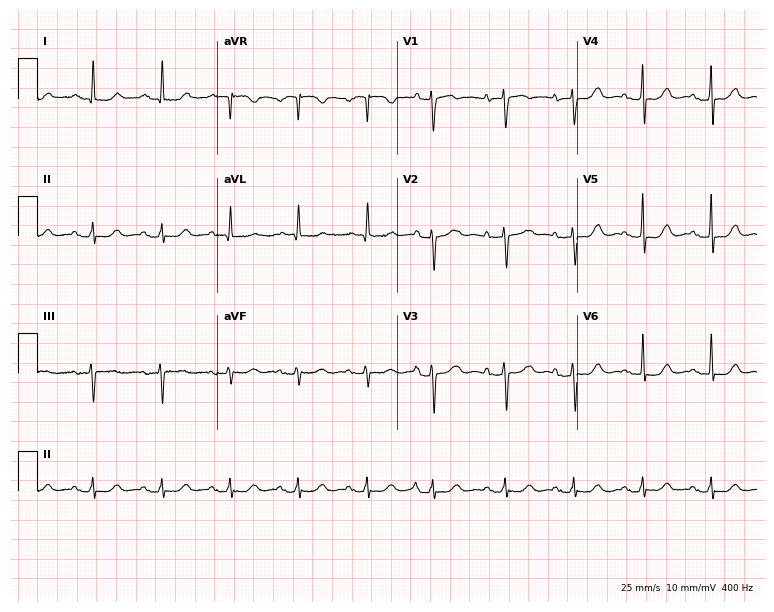
Electrocardiogram (7.3-second recording at 400 Hz), a 78-year-old female patient. Of the six screened findings (first-degree AV block, right bundle branch block, left bundle branch block, sinus bradycardia, atrial fibrillation, sinus tachycardia), none is recorded.